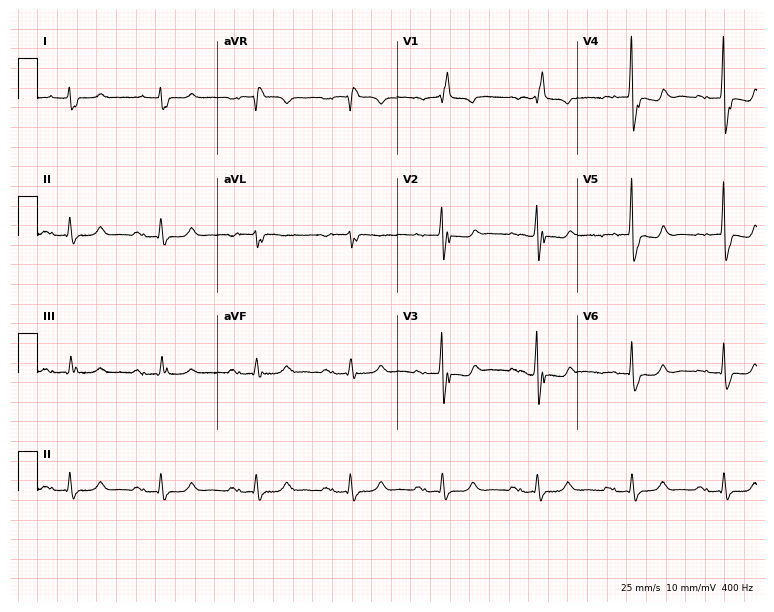
Electrocardiogram (7.3-second recording at 400 Hz), an 81-year-old man. Interpretation includes first-degree AV block, right bundle branch block (RBBB).